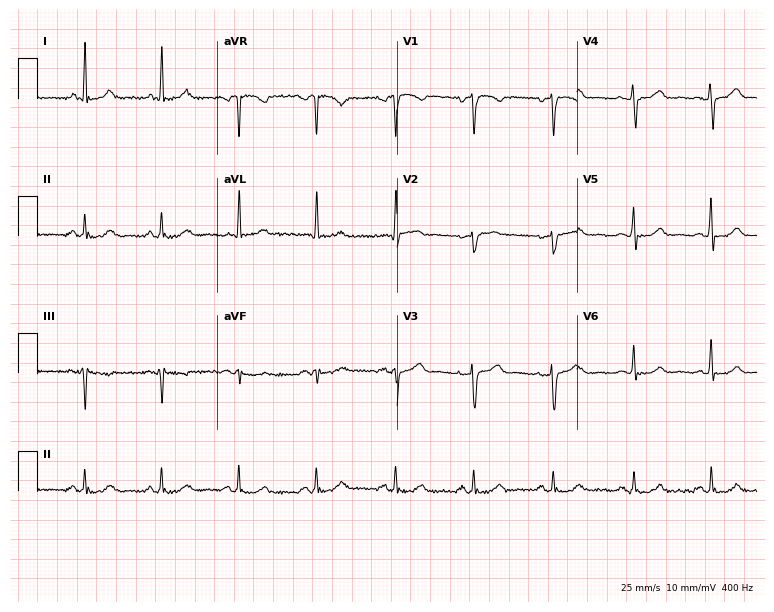
Electrocardiogram, a woman, 56 years old. Of the six screened findings (first-degree AV block, right bundle branch block, left bundle branch block, sinus bradycardia, atrial fibrillation, sinus tachycardia), none is recorded. Other findings, if any, are not listed.